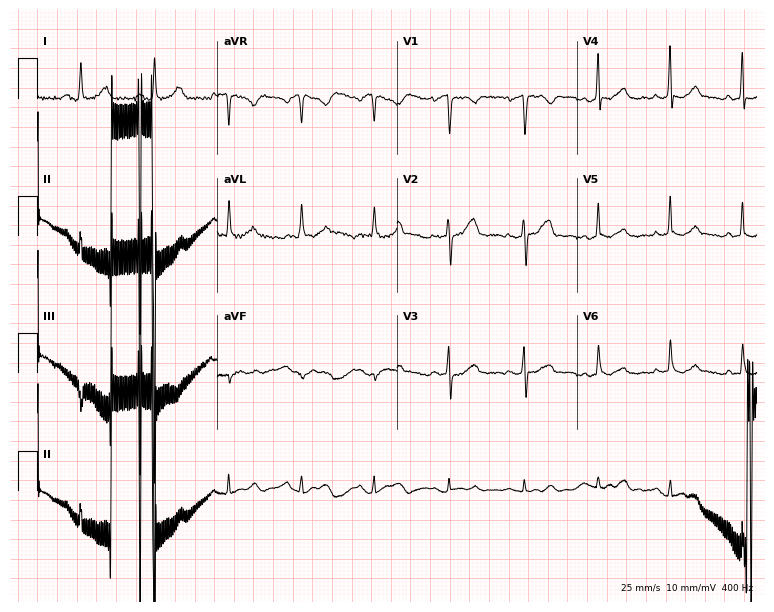
Resting 12-lead electrocardiogram (7.3-second recording at 400 Hz). Patient: a female, 42 years old. None of these six findings is recorded: first-degree AV block, right bundle branch block, left bundle branch block, sinus bradycardia, atrial fibrillation, sinus tachycardia.